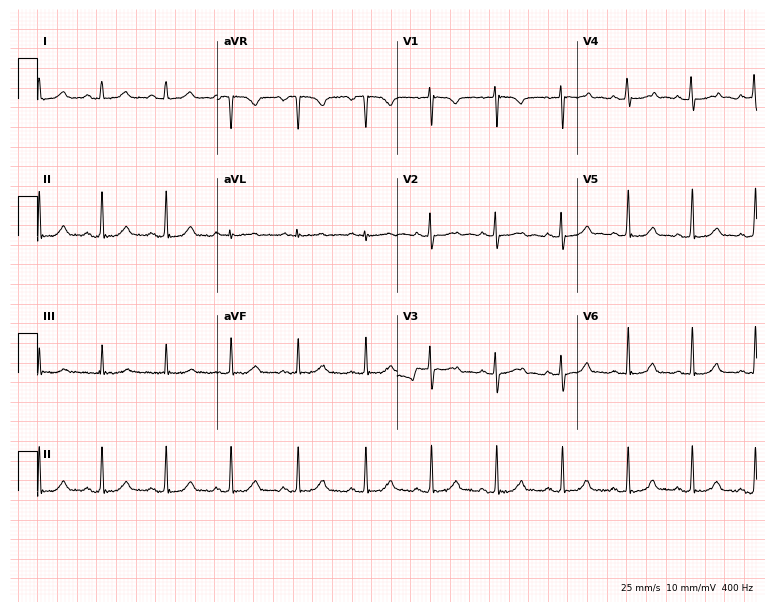
12-lead ECG from a female, 18 years old (7.3-second recording at 400 Hz). Recorded interpretation: within normal limits.